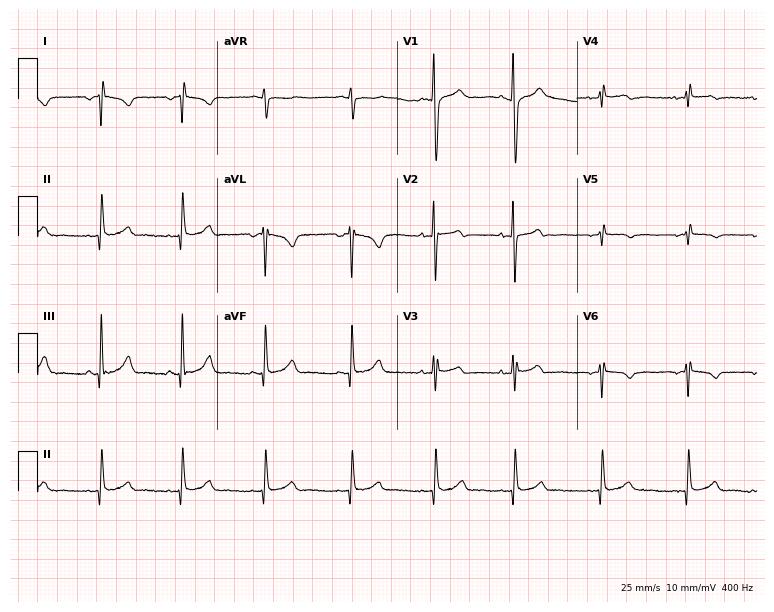
ECG — a female, 30 years old. Screened for six findings — first-degree AV block, right bundle branch block, left bundle branch block, sinus bradycardia, atrial fibrillation, sinus tachycardia — none is recorded. Only these six findings were labelled.